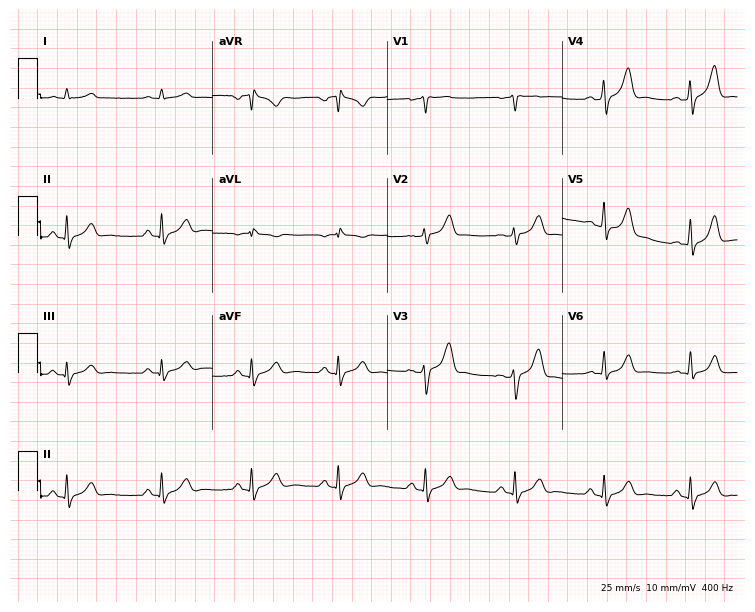
12-lead ECG from a 54-year-old man. Screened for six findings — first-degree AV block, right bundle branch block, left bundle branch block, sinus bradycardia, atrial fibrillation, sinus tachycardia — none is recorded.